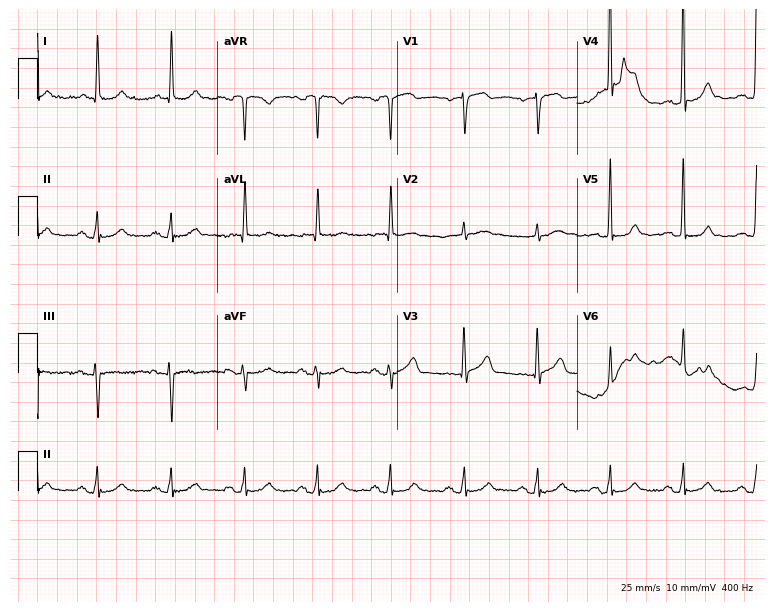
Standard 12-lead ECG recorded from a female, 70 years old. None of these six findings is recorded: first-degree AV block, right bundle branch block, left bundle branch block, sinus bradycardia, atrial fibrillation, sinus tachycardia. Only these six findings were labelled.